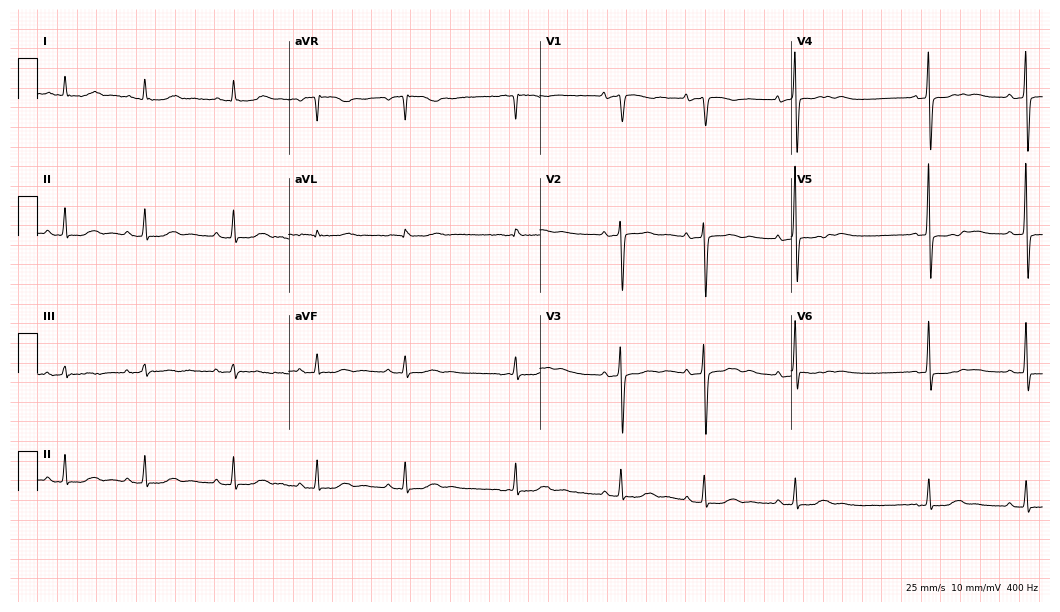
12-lead ECG from an 85-year-old woman. No first-degree AV block, right bundle branch block (RBBB), left bundle branch block (LBBB), sinus bradycardia, atrial fibrillation (AF) or sinus tachycardia recorded for this tracing.